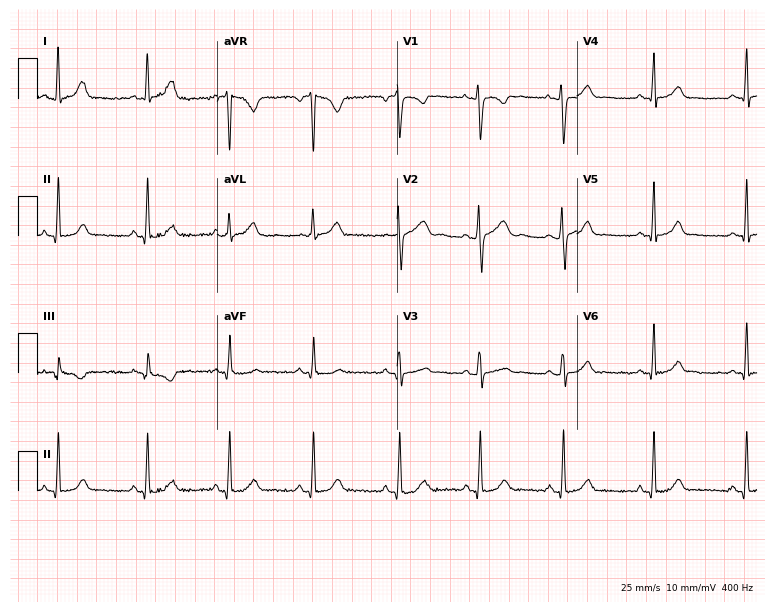
Standard 12-lead ECG recorded from a 22-year-old female patient (7.3-second recording at 400 Hz). None of these six findings is recorded: first-degree AV block, right bundle branch block (RBBB), left bundle branch block (LBBB), sinus bradycardia, atrial fibrillation (AF), sinus tachycardia. Other findings, if any, are not listed.